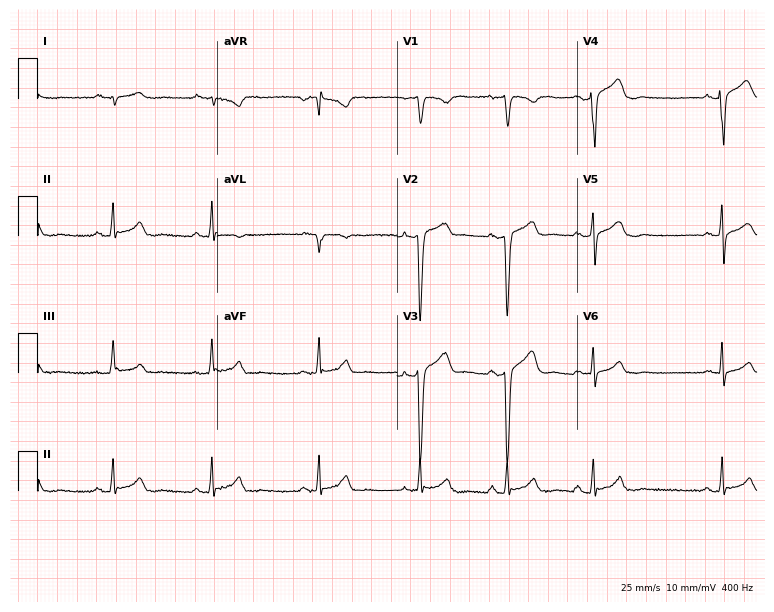
ECG — a 22-year-old man. Screened for six findings — first-degree AV block, right bundle branch block (RBBB), left bundle branch block (LBBB), sinus bradycardia, atrial fibrillation (AF), sinus tachycardia — none is recorded.